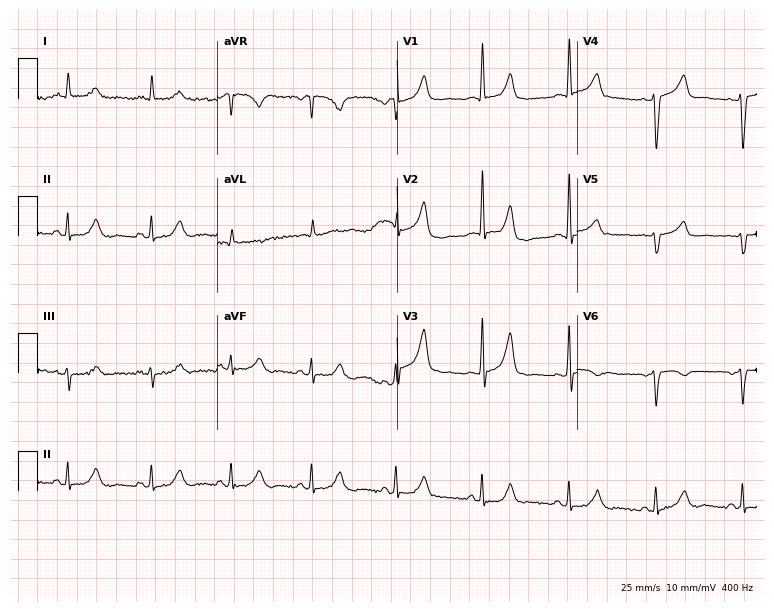
Standard 12-lead ECG recorded from a 38-year-old female (7.3-second recording at 400 Hz). None of these six findings is recorded: first-degree AV block, right bundle branch block (RBBB), left bundle branch block (LBBB), sinus bradycardia, atrial fibrillation (AF), sinus tachycardia.